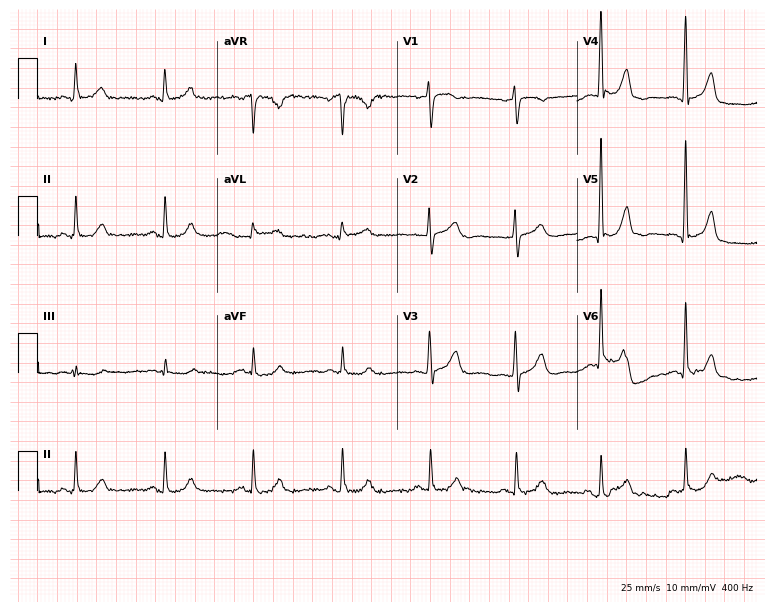
12-lead ECG (7.3-second recording at 400 Hz) from a 58-year-old female patient. Labelled as a normal ECG.